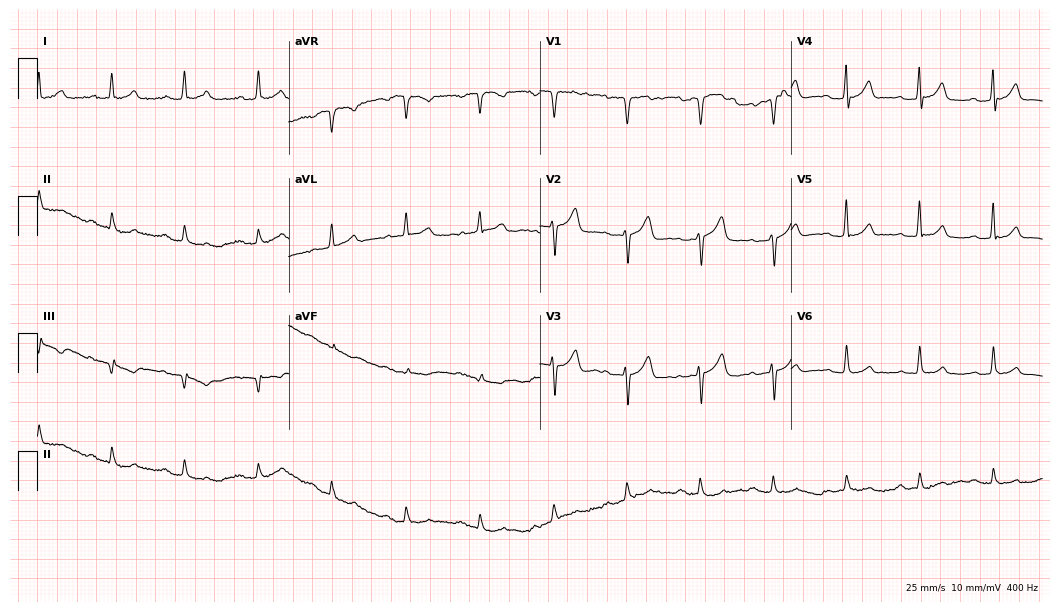
12-lead ECG from a 58-year-old male. Recorded interpretation: within normal limits.